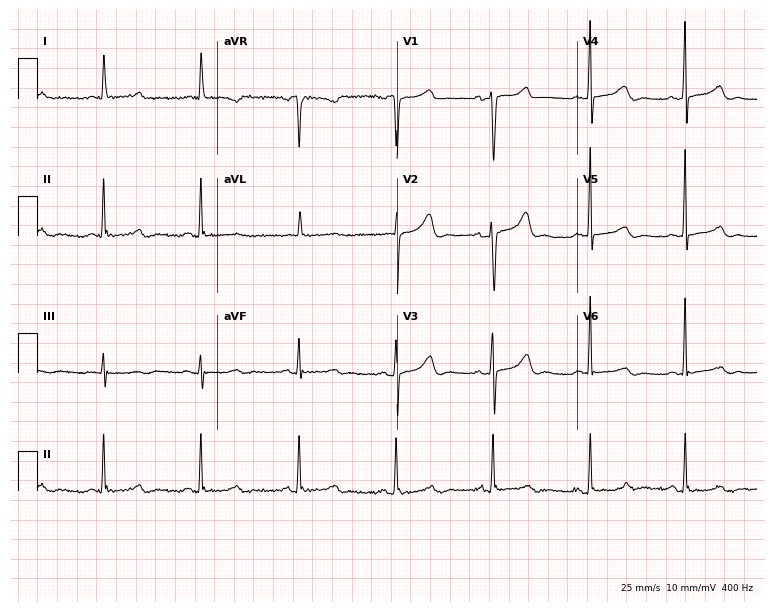
Standard 12-lead ECG recorded from a 78-year-old female (7.3-second recording at 400 Hz). None of these six findings is recorded: first-degree AV block, right bundle branch block (RBBB), left bundle branch block (LBBB), sinus bradycardia, atrial fibrillation (AF), sinus tachycardia.